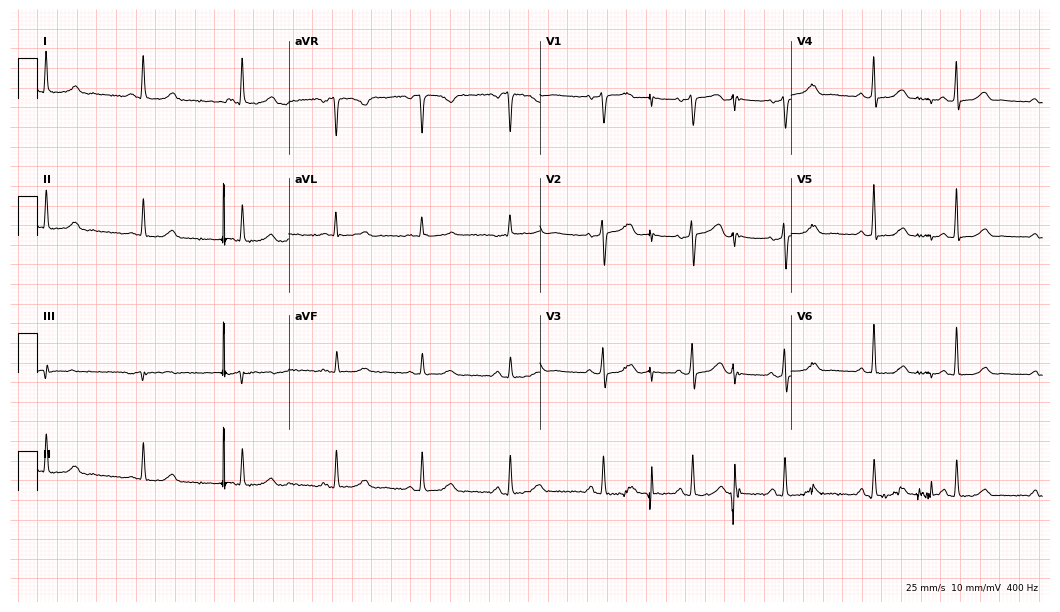
Resting 12-lead electrocardiogram. Patient: a 55-year-old woman. Read as a normal ECG.